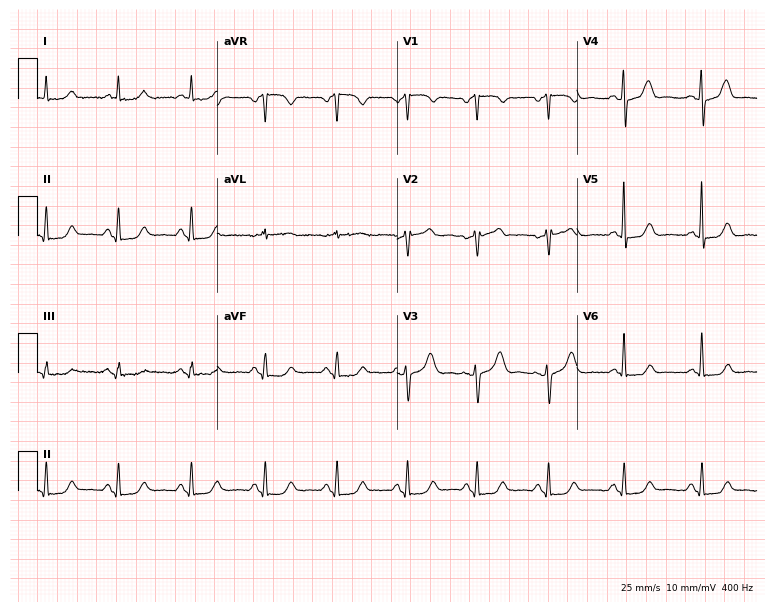
12-lead ECG (7.3-second recording at 400 Hz) from a female patient, 69 years old. Screened for six findings — first-degree AV block, right bundle branch block, left bundle branch block, sinus bradycardia, atrial fibrillation, sinus tachycardia — none is recorded. Findings outside these six are not listed.